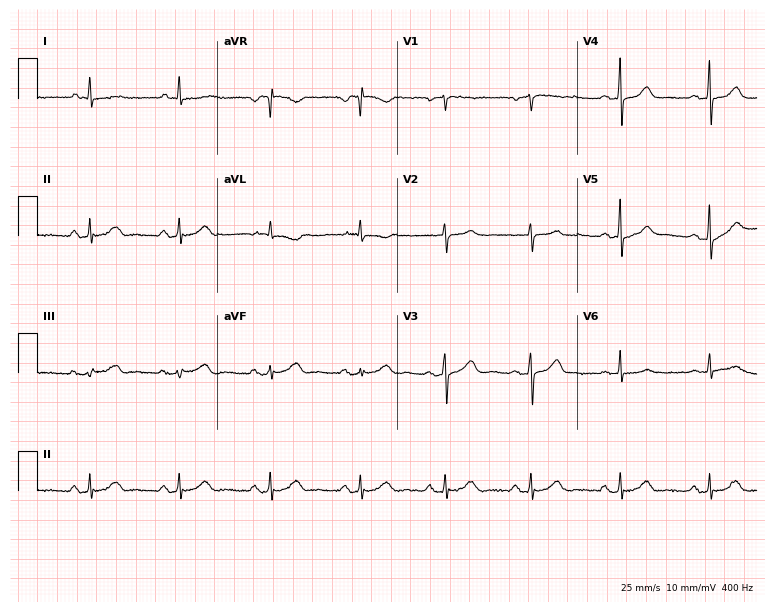
Resting 12-lead electrocardiogram (7.3-second recording at 400 Hz). Patient: a woman, 63 years old. None of these six findings is recorded: first-degree AV block, right bundle branch block, left bundle branch block, sinus bradycardia, atrial fibrillation, sinus tachycardia. Other findings, if any, are not listed.